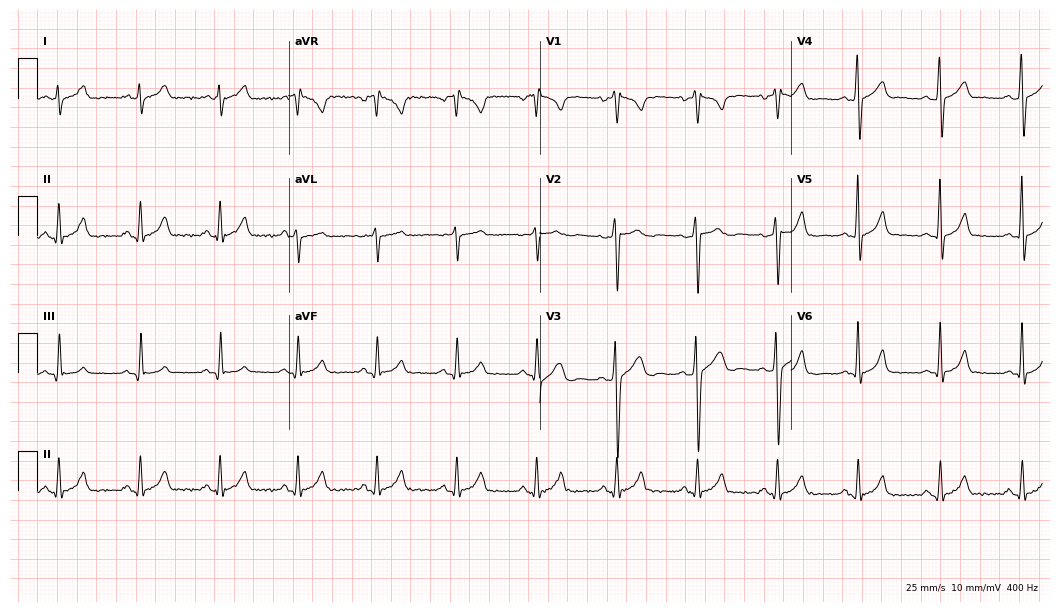
Resting 12-lead electrocardiogram. Patient: a 32-year-old male. Read as a normal ECG.